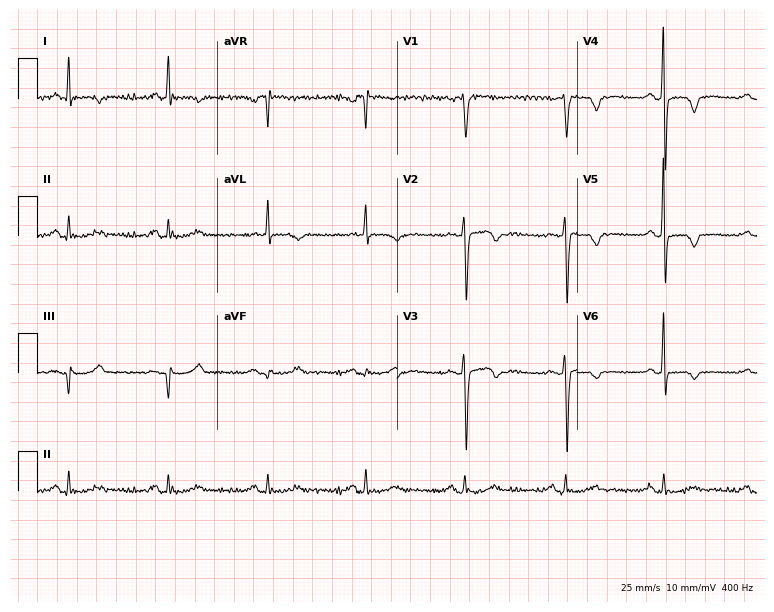
Resting 12-lead electrocardiogram. Patient: a male, 77 years old. None of these six findings is recorded: first-degree AV block, right bundle branch block (RBBB), left bundle branch block (LBBB), sinus bradycardia, atrial fibrillation (AF), sinus tachycardia.